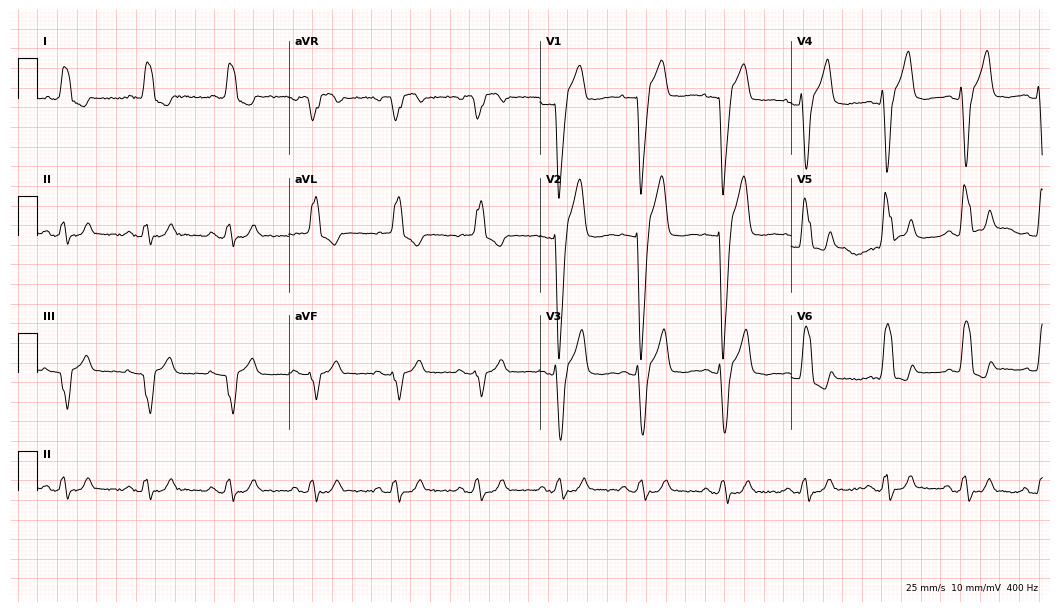
Resting 12-lead electrocardiogram (10.2-second recording at 400 Hz). Patient: a female, 76 years old. The tracing shows left bundle branch block.